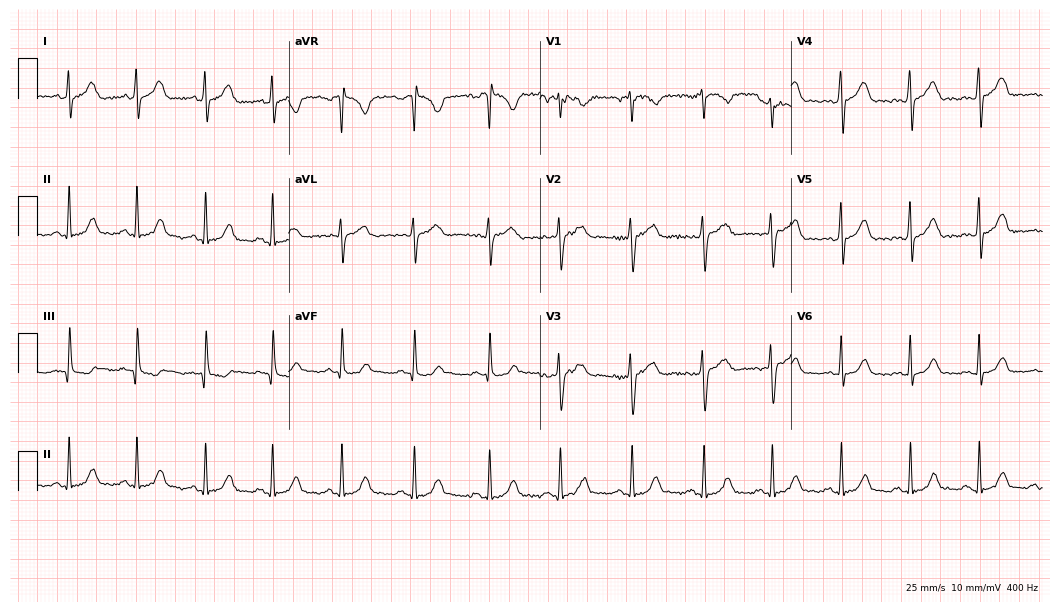
12-lead ECG from a 26-year-old female patient (10.2-second recording at 400 Hz). Recorded interpretation: within normal limits.